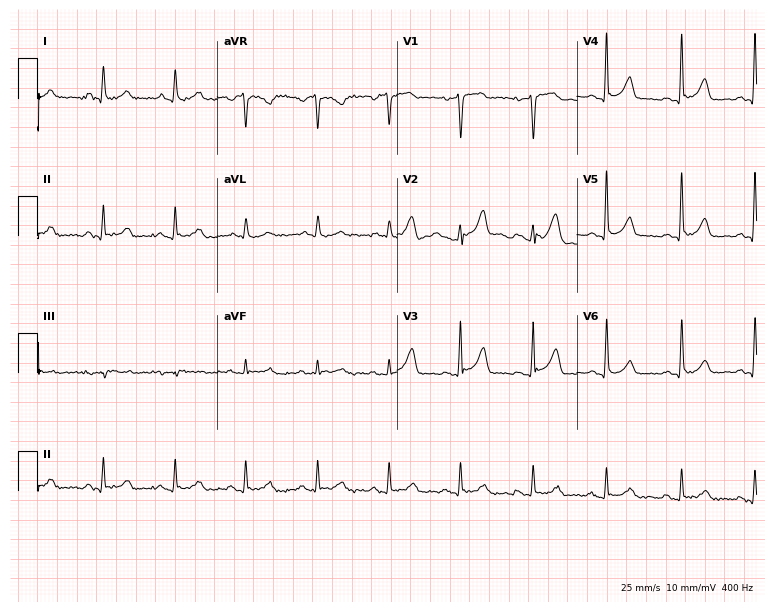
12-lead ECG (7.3-second recording at 400 Hz) from a male patient, 39 years old. Screened for six findings — first-degree AV block, right bundle branch block, left bundle branch block, sinus bradycardia, atrial fibrillation, sinus tachycardia — none is recorded.